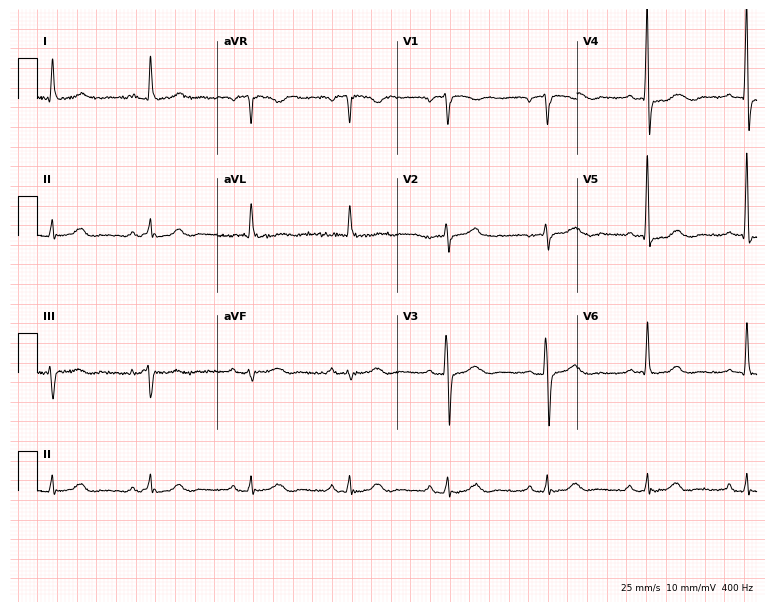
12-lead ECG from a male patient, 68 years old. Labelled as a normal ECG.